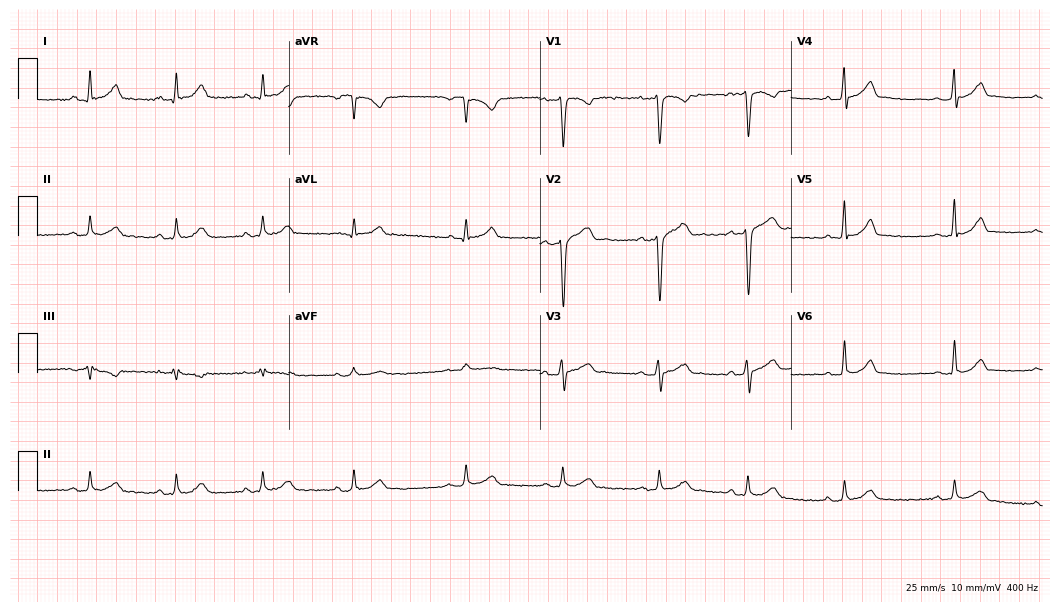
Standard 12-lead ECG recorded from a male patient, 26 years old (10.2-second recording at 400 Hz). Read as a normal ECG.